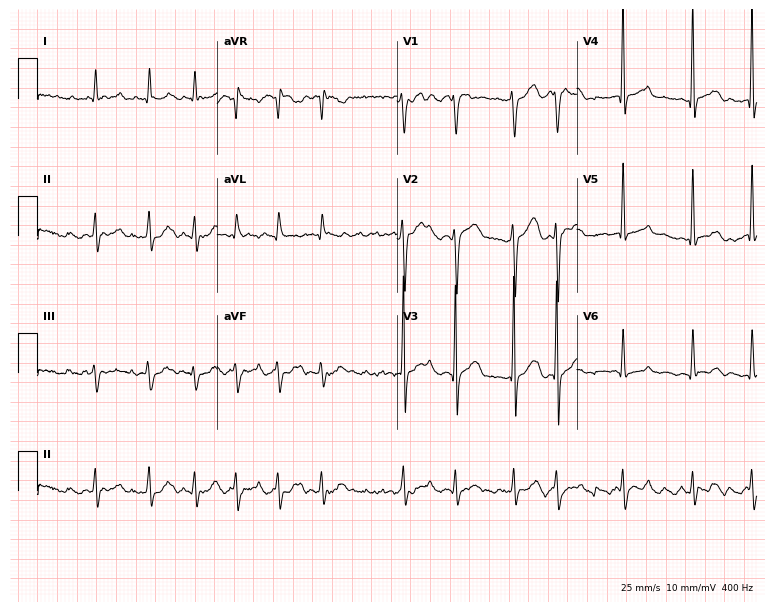
12-lead ECG from a 76-year-old man (7.3-second recording at 400 Hz). Shows atrial fibrillation (AF), sinus tachycardia (a sinus rate of 100 beats per minute or more).